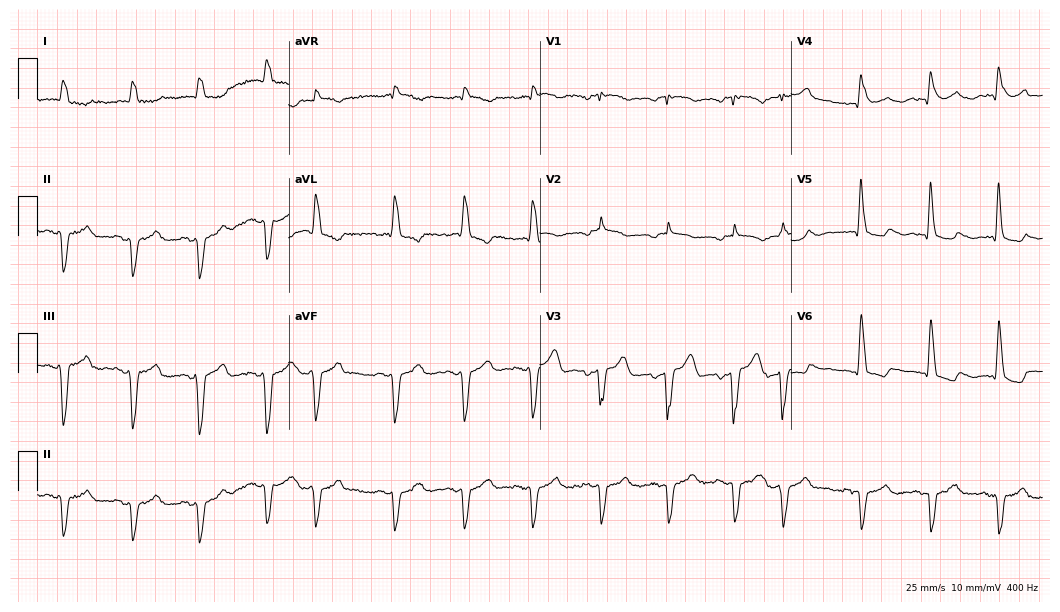
12-lead ECG from a man, 85 years old. Shows left bundle branch block.